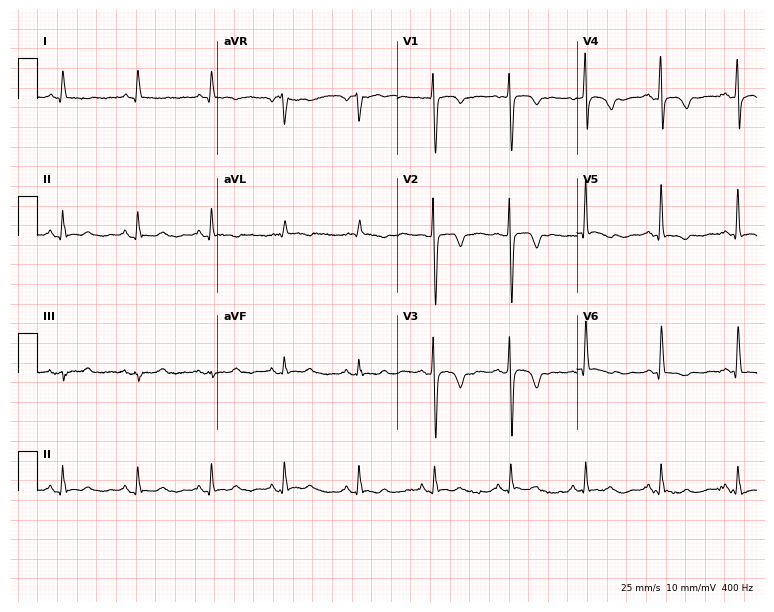
Electrocardiogram, a woman, 69 years old. Of the six screened findings (first-degree AV block, right bundle branch block (RBBB), left bundle branch block (LBBB), sinus bradycardia, atrial fibrillation (AF), sinus tachycardia), none is recorded.